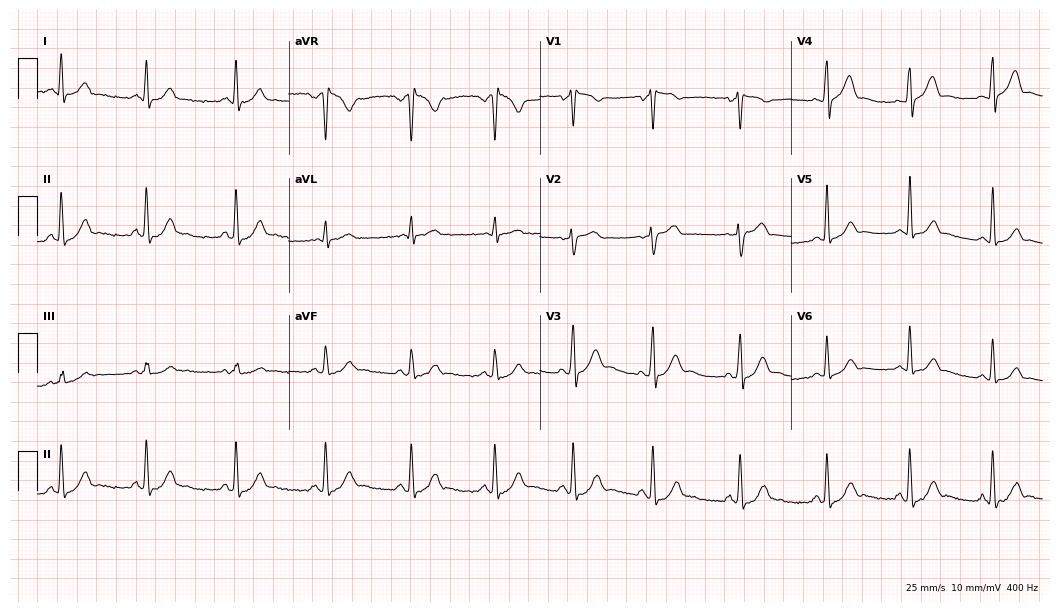
Resting 12-lead electrocardiogram. Patient: a 25-year-old man. None of these six findings is recorded: first-degree AV block, right bundle branch block, left bundle branch block, sinus bradycardia, atrial fibrillation, sinus tachycardia.